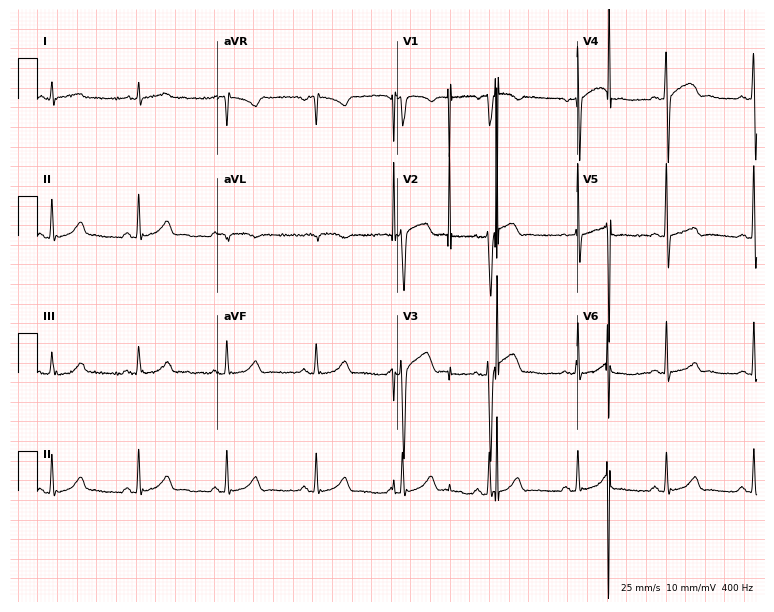
12-lead ECG from a 58-year-old male. Labelled as a normal ECG.